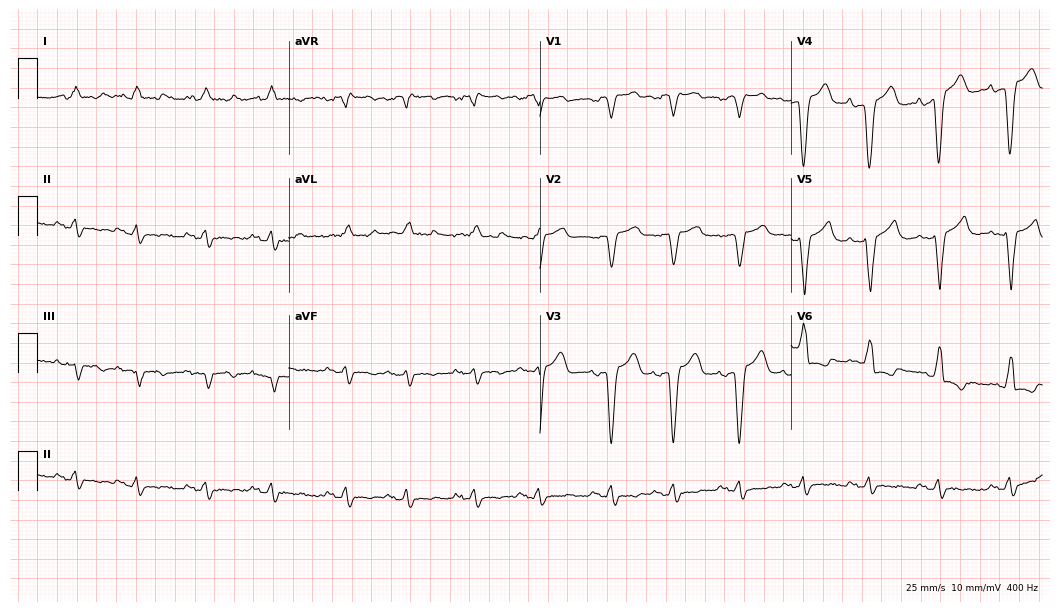
ECG (10.2-second recording at 400 Hz) — a man, 71 years old. Findings include left bundle branch block.